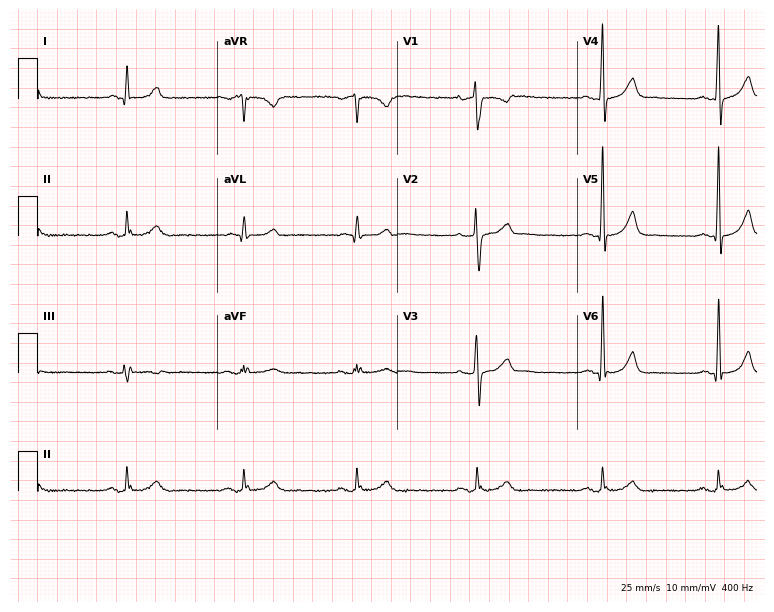
12-lead ECG from a 37-year-old male patient. Recorded interpretation: within normal limits.